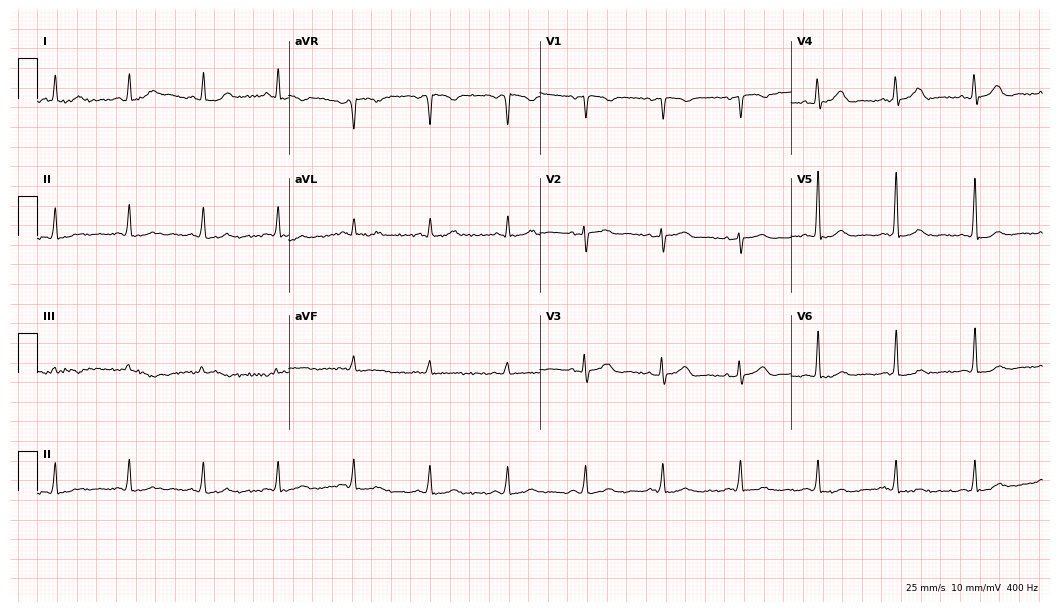
Standard 12-lead ECG recorded from a 50-year-old female. Read as a normal ECG.